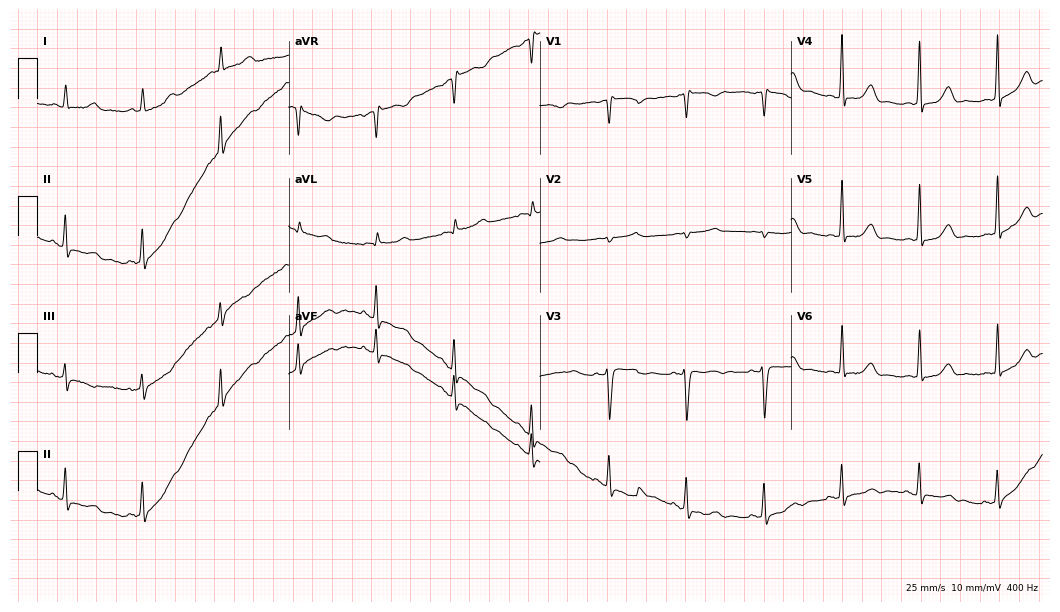
Resting 12-lead electrocardiogram (10.2-second recording at 400 Hz). Patient: a woman, 63 years old. None of these six findings is recorded: first-degree AV block, right bundle branch block (RBBB), left bundle branch block (LBBB), sinus bradycardia, atrial fibrillation (AF), sinus tachycardia.